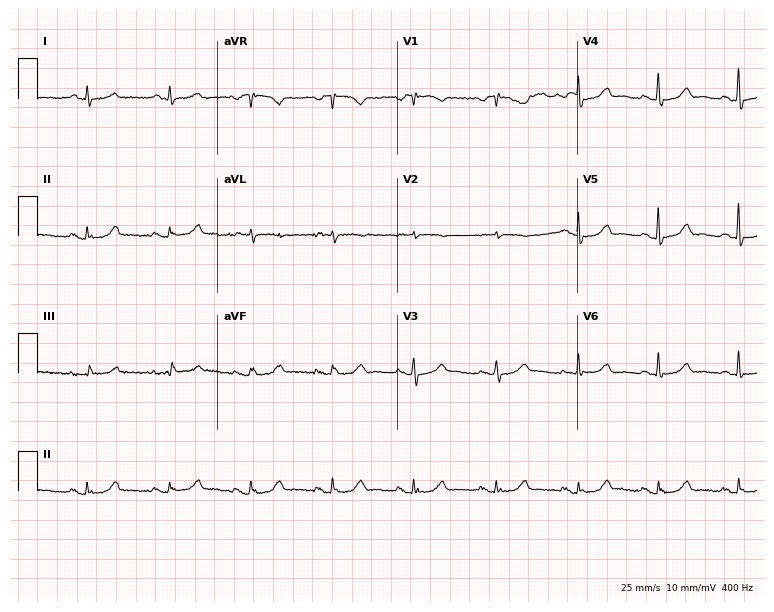
Resting 12-lead electrocardiogram (7.3-second recording at 400 Hz). Patient: a female, 80 years old. Read as a normal ECG.